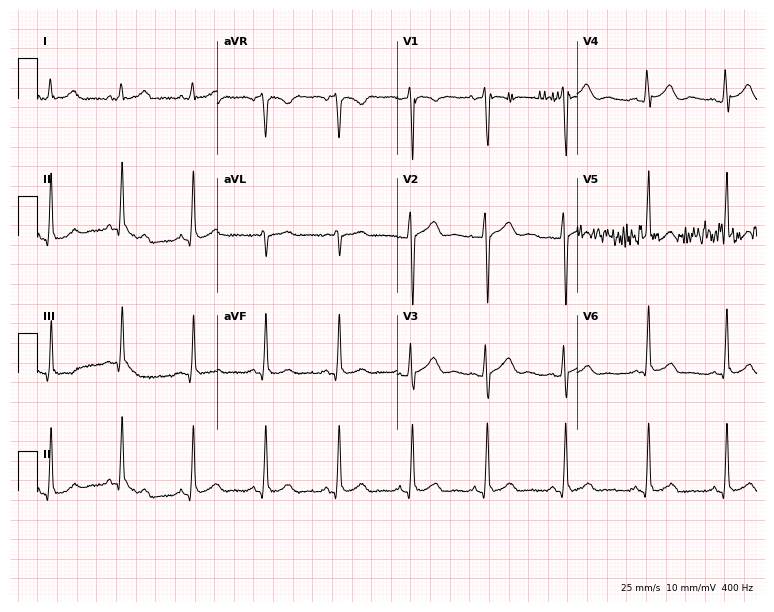
Electrocardiogram, a 37-year-old male patient. Overall reading on record: normal ECG.